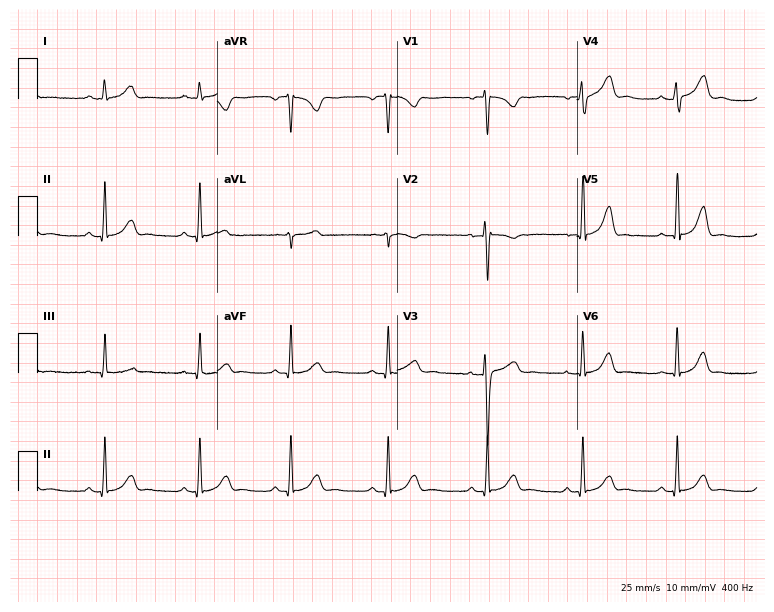
Standard 12-lead ECG recorded from a female patient, 24 years old. Read as a normal ECG.